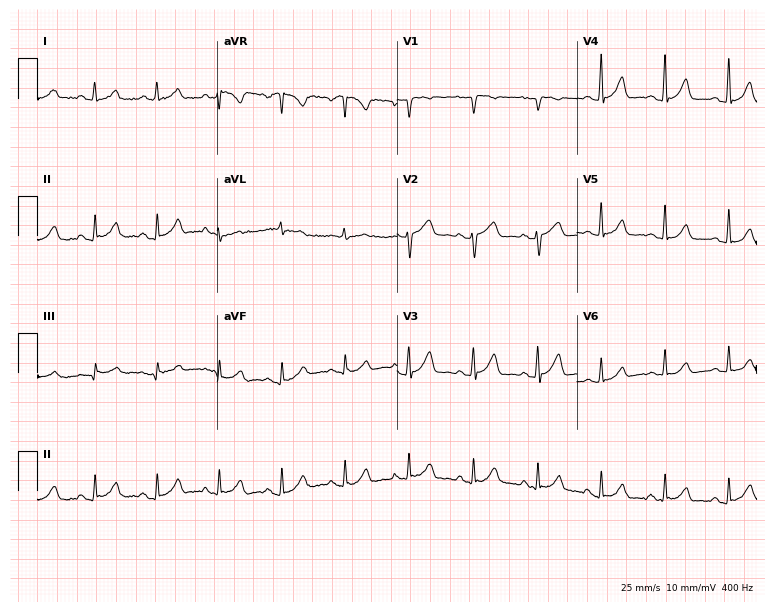
Electrocardiogram, a female patient, 49 years old. Of the six screened findings (first-degree AV block, right bundle branch block (RBBB), left bundle branch block (LBBB), sinus bradycardia, atrial fibrillation (AF), sinus tachycardia), none is recorded.